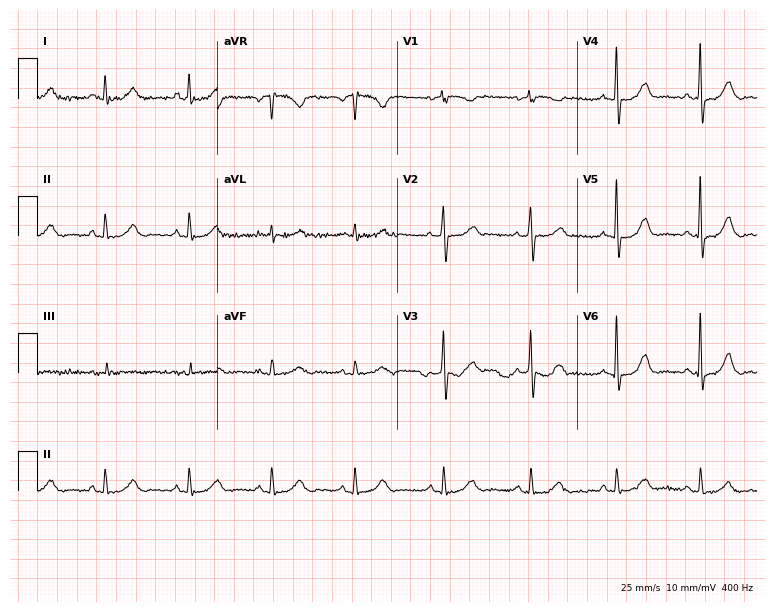
Electrocardiogram (7.3-second recording at 400 Hz), a female, 57 years old. Overall reading on record: normal ECG.